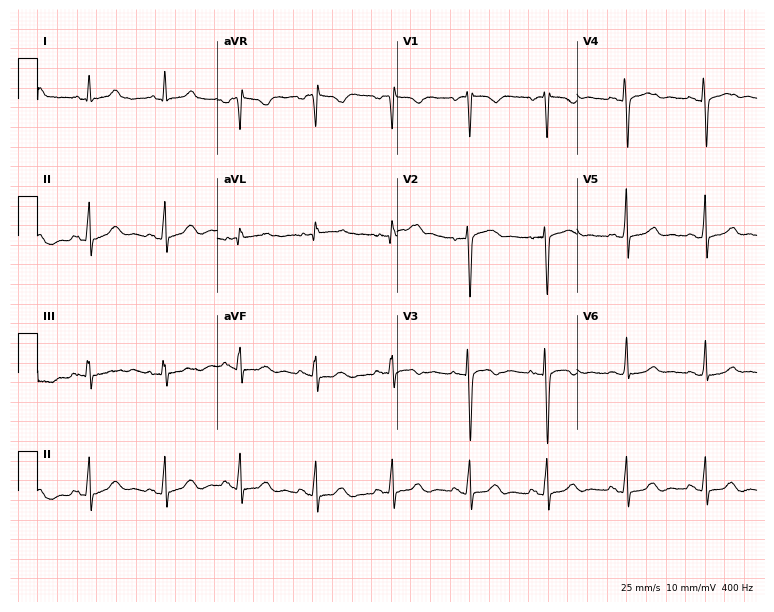
12-lead ECG from a female, 43 years old. Recorded interpretation: within normal limits.